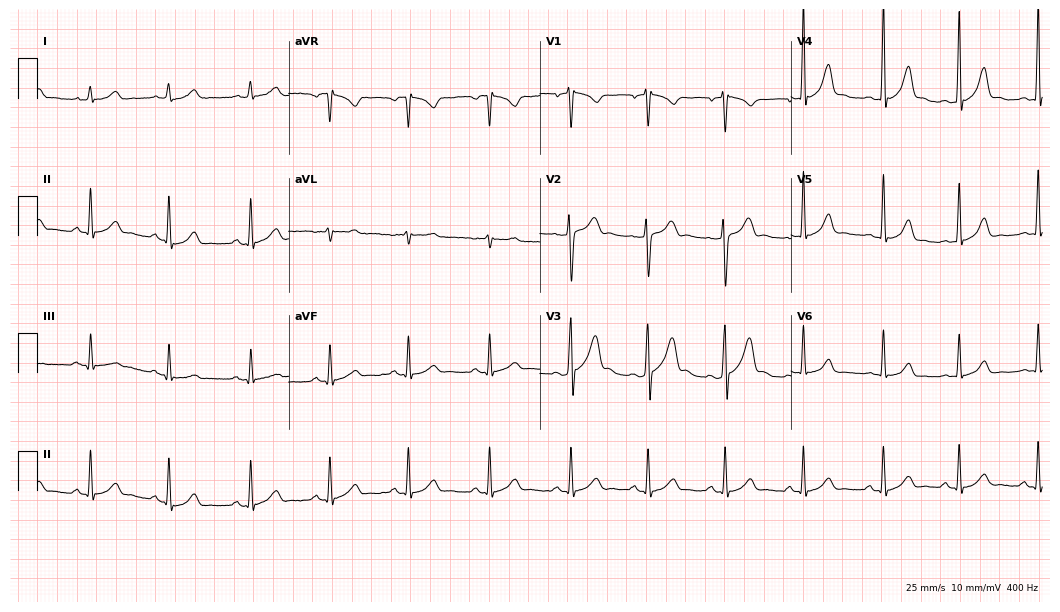
Standard 12-lead ECG recorded from a 29-year-old male (10.2-second recording at 400 Hz). None of these six findings is recorded: first-degree AV block, right bundle branch block (RBBB), left bundle branch block (LBBB), sinus bradycardia, atrial fibrillation (AF), sinus tachycardia. Other findings, if any, are not listed.